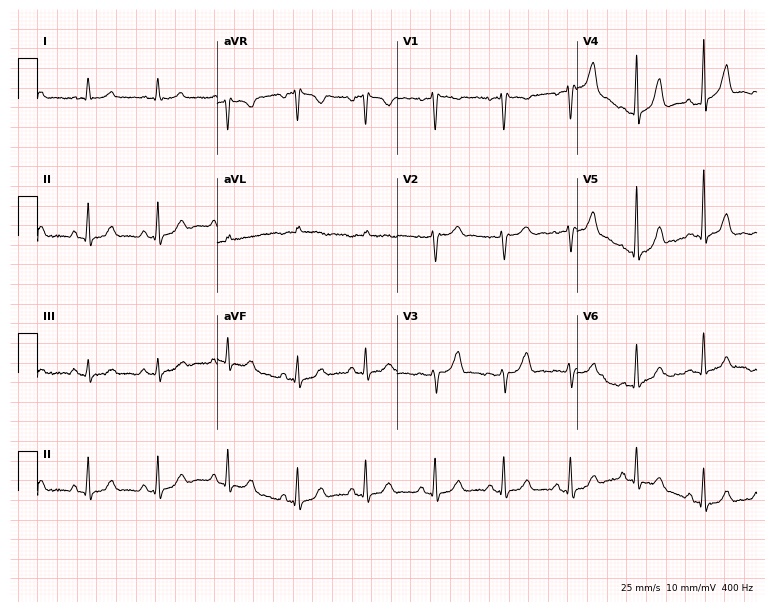
ECG — a female patient, 38 years old. Labelled as a normal ECG.